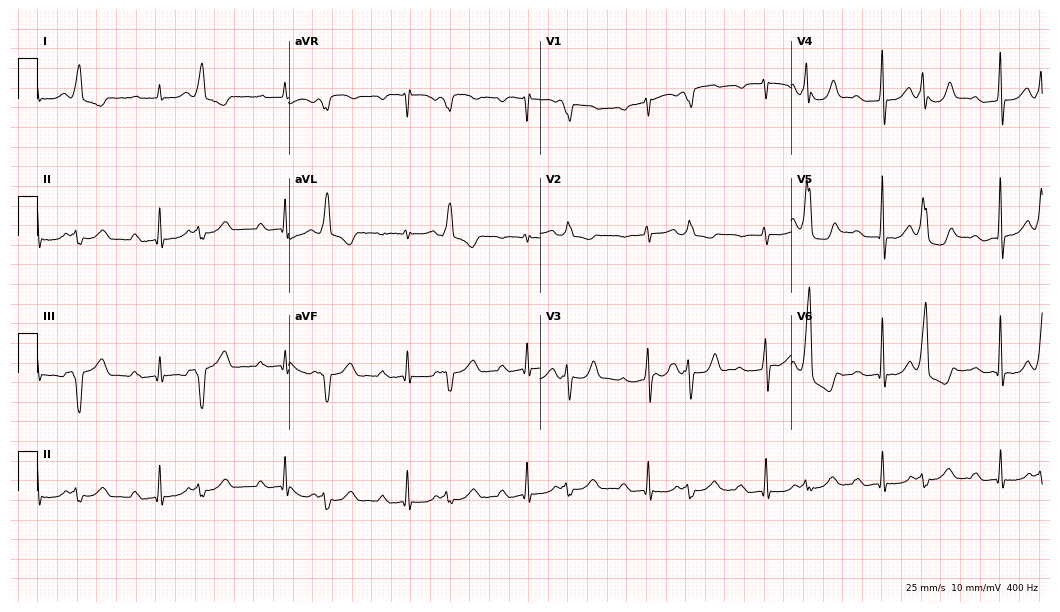
Resting 12-lead electrocardiogram. Patient: a 71-year-old man. The tracing shows first-degree AV block.